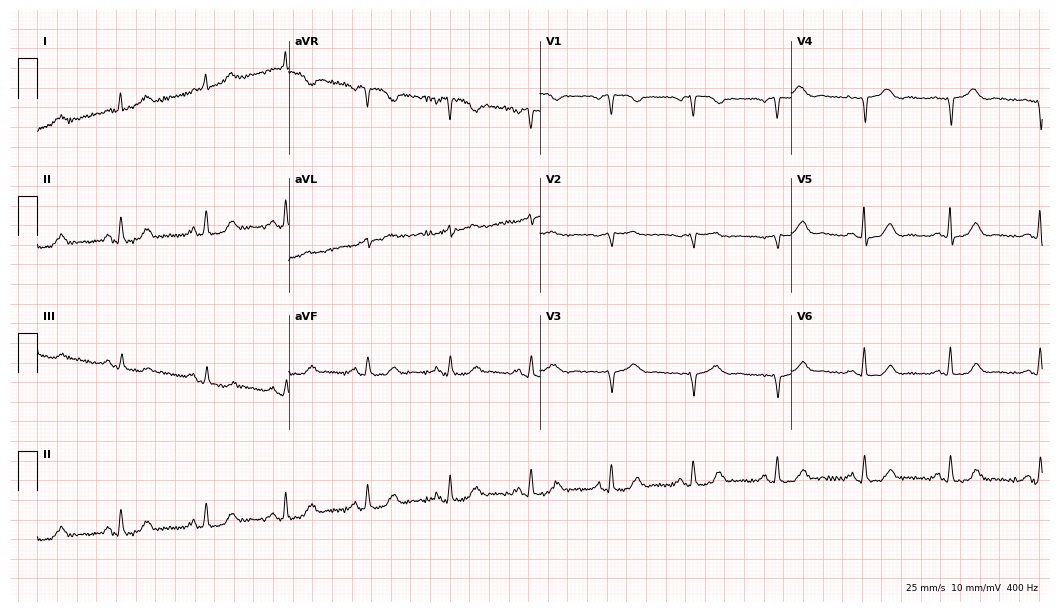
Electrocardiogram, a woman, 69 years old. Of the six screened findings (first-degree AV block, right bundle branch block, left bundle branch block, sinus bradycardia, atrial fibrillation, sinus tachycardia), none is recorded. Other findings, if any, are not listed.